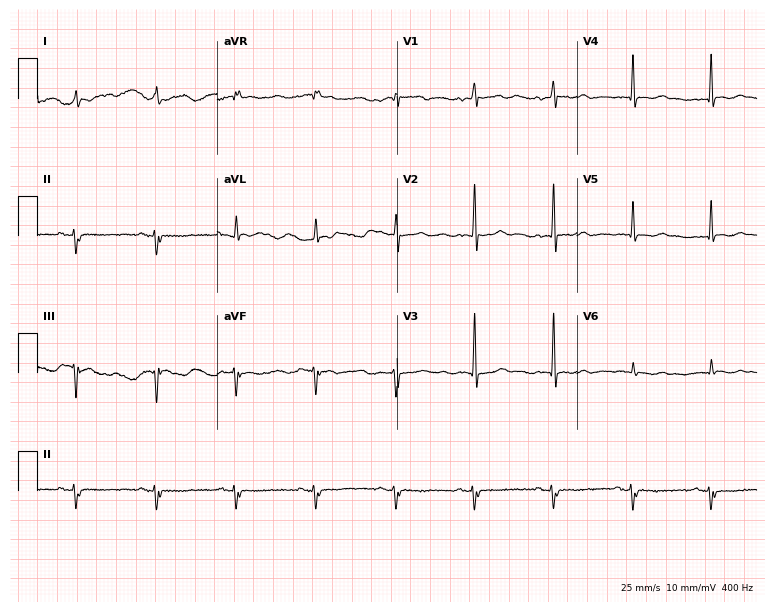
12-lead ECG from a woman, 74 years old. No first-degree AV block, right bundle branch block, left bundle branch block, sinus bradycardia, atrial fibrillation or sinus tachycardia recorded for this tracing. Other findings, if any, are not listed.